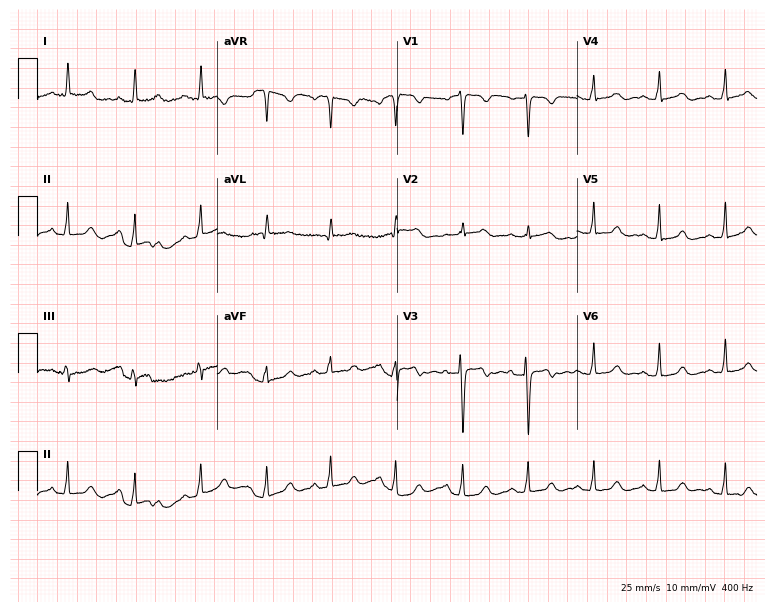
Electrocardiogram (7.3-second recording at 400 Hz), a female patient, 51 years old. Overall reading on record: normal ECG.